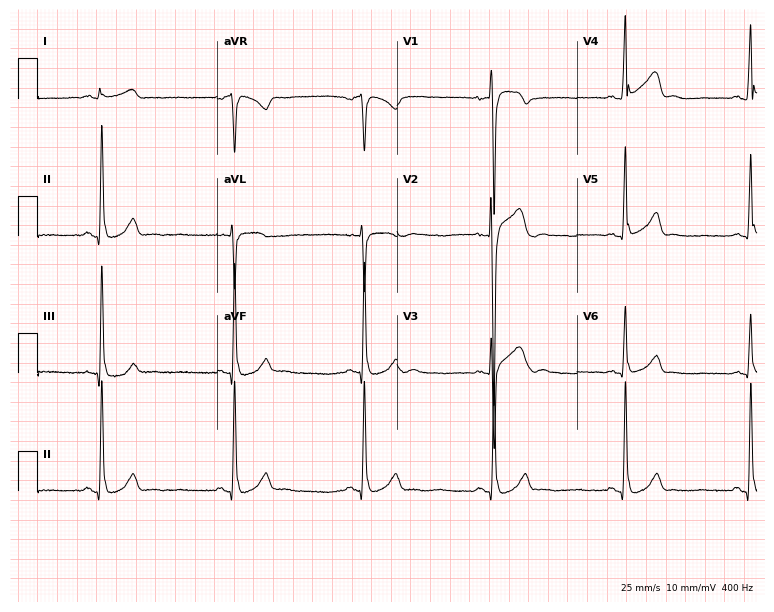
12-lead ECG from a male, 20 years old. Shows sinus bradycardia (a sinus rate of 50 beats per minute or less).